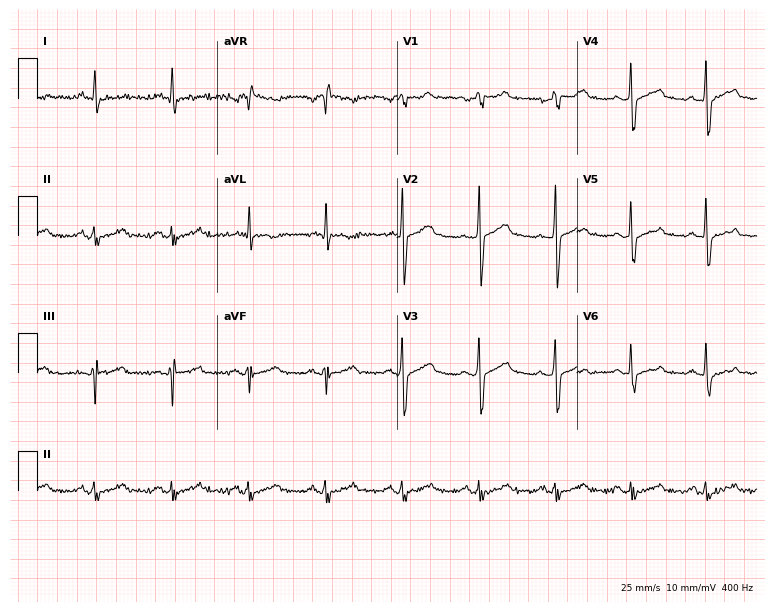
12-lead ECG from a man, 59 years old (7.3-second recording at 400 Hz). Recorded interpretation: within normal limits.